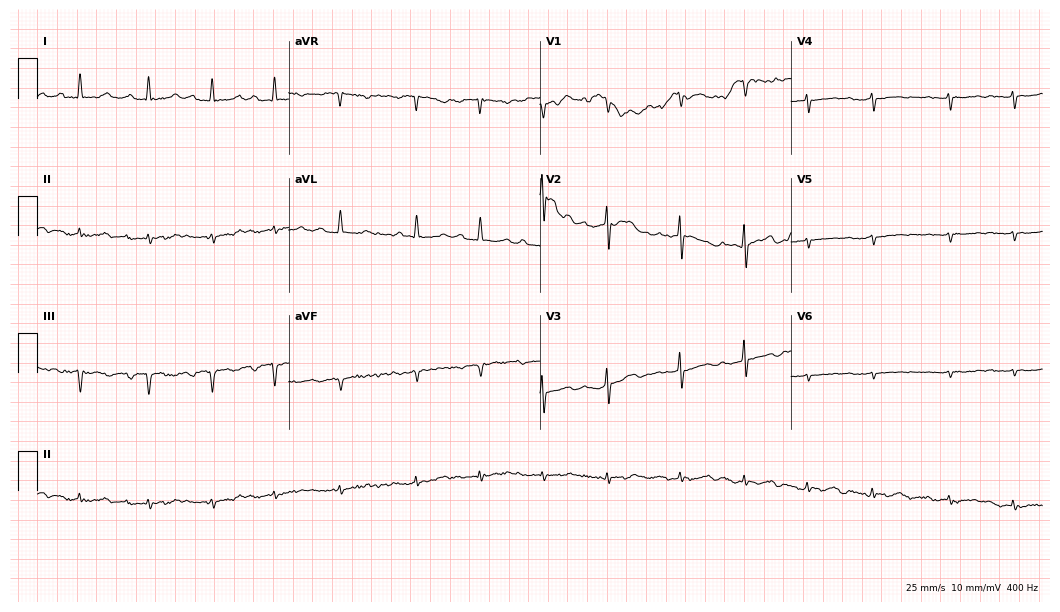
Resting 12-lead electrocardiogram (10.2-second recording at 400 Hz). Patient: an 84-year-old female. None of these six findings is recorded: first-degree AV block, right bundle branch block, left bundle branch block, sinus bradycardia, atrial fibrillation, sinus tachycardia.